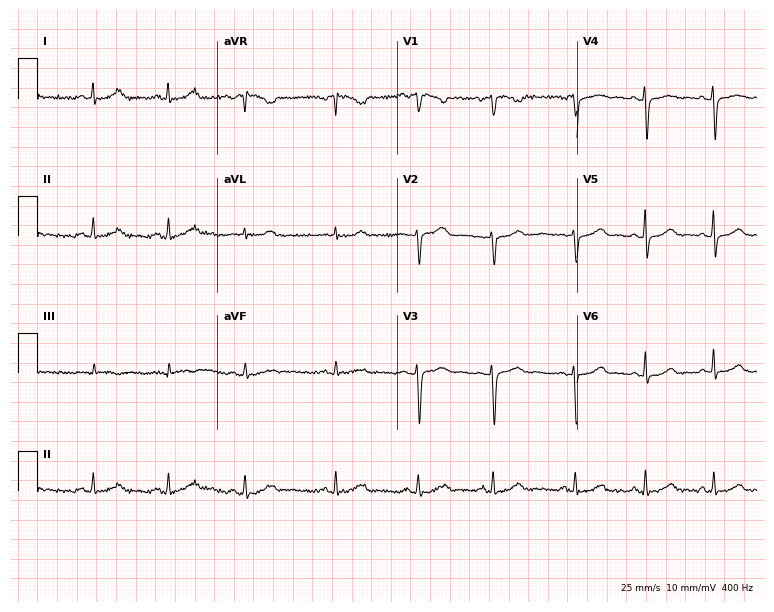
Electrocardiogram (7.3-second recording at 400 Hz), a female, 32 years old. Overall reading on record: normal ECG.